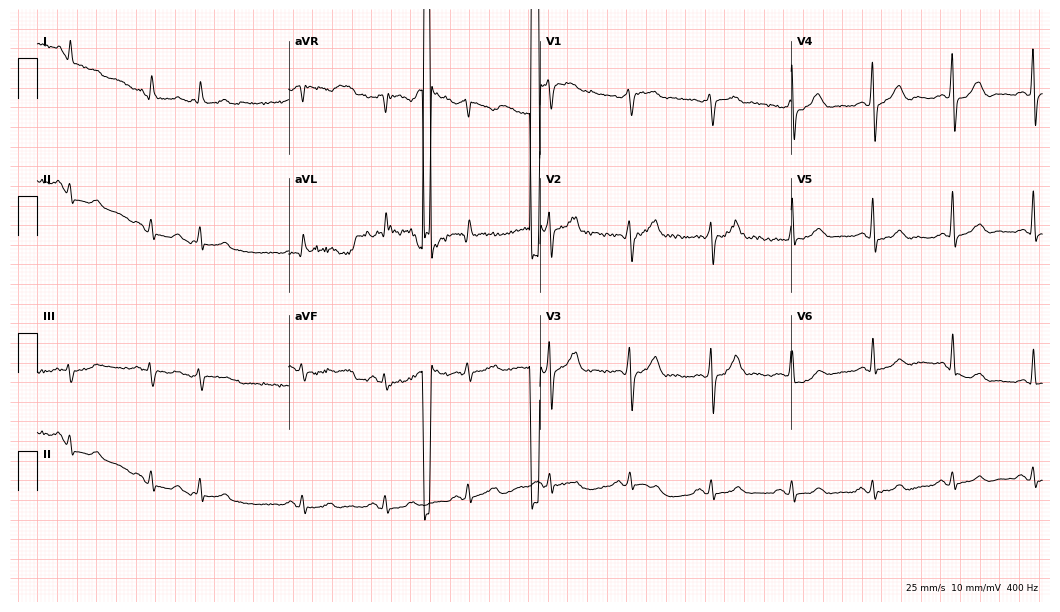
12-lead ECG from an 80-year-old man. No first-degree AV block, right bundle branch block (RBBB), left bundle branch block (LBBB), sinus bradycardia, atrial fibrillation (AF) or sinus tachycardia recorded for this tracing. Findings outside these six are not listed.